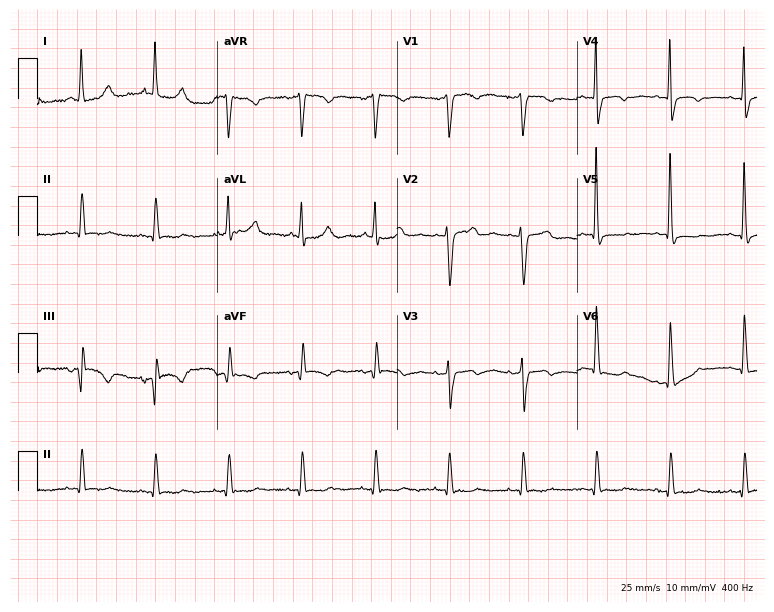
12-lead ECG (7.3-second recording at 400 Hz) from an 83-year-old female patient. Screened for six findings — first-degree AV block, right bundle branch block (RBBB), left bundle branch block (LBBB), sinus bradycardia, atrial fibrillation (AF), sinus tachycardia — none is recorded.